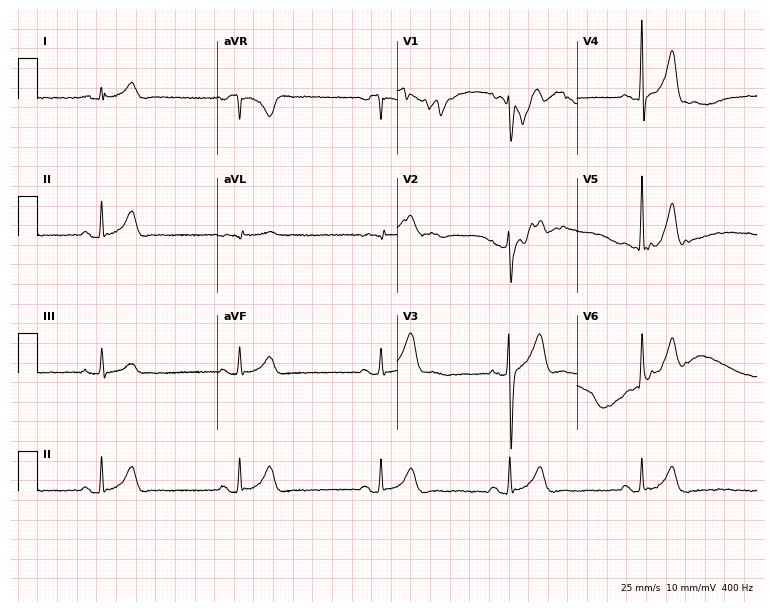
ECG — a male, 46 years old. Screened for six findings — first-degree AV block, right bundle branch block (RBBB), left bundle branch block (LBBB), sinus bradycardia, atrial fibrillation (AF), sinus tachycardia — none is recorded. Other findings, if any, are not listed.